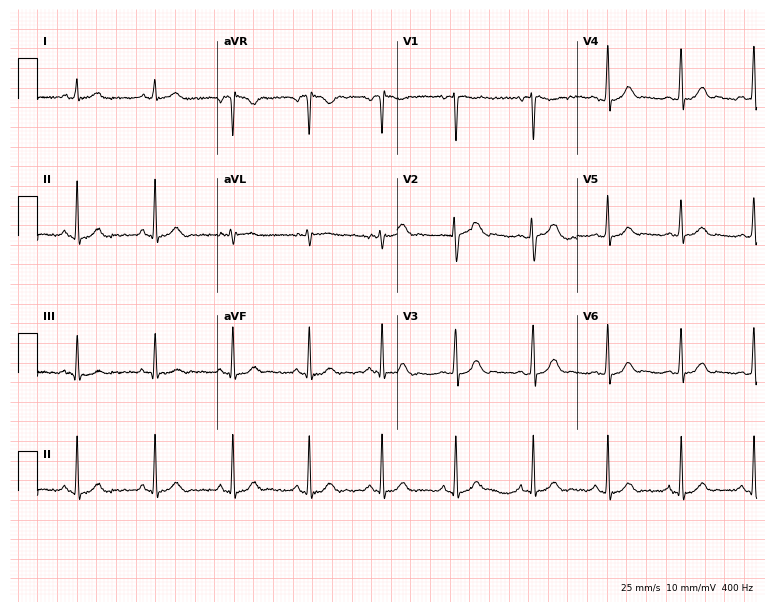
Electrocardiogram (7.3-second recording at 400 Hz), a 27-year-old woman. Of the six screened findings (first-degree AV block, right bundle branch block, left bundle branch block, sinus bradycardia, atrial fibrillation, sinus tachycardia), none is recorded.